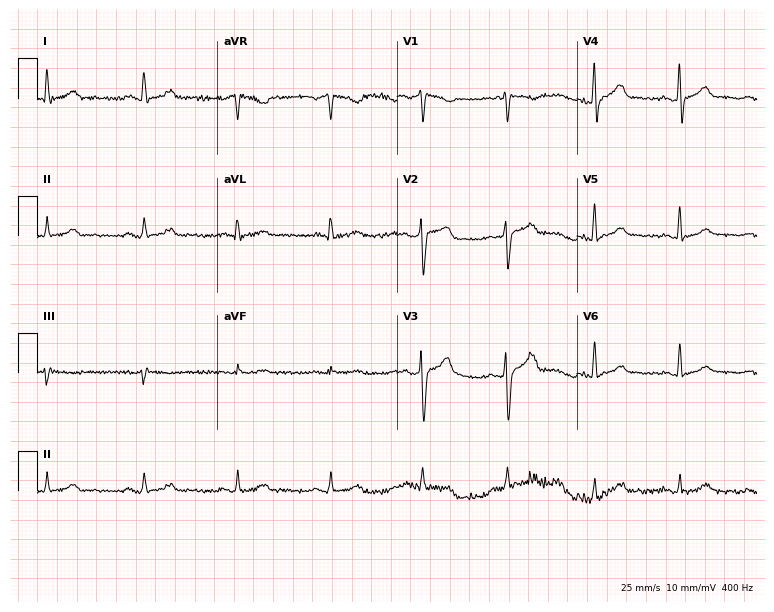
ECG — a 46-year-old male patient. Labelled as a normal ECG.